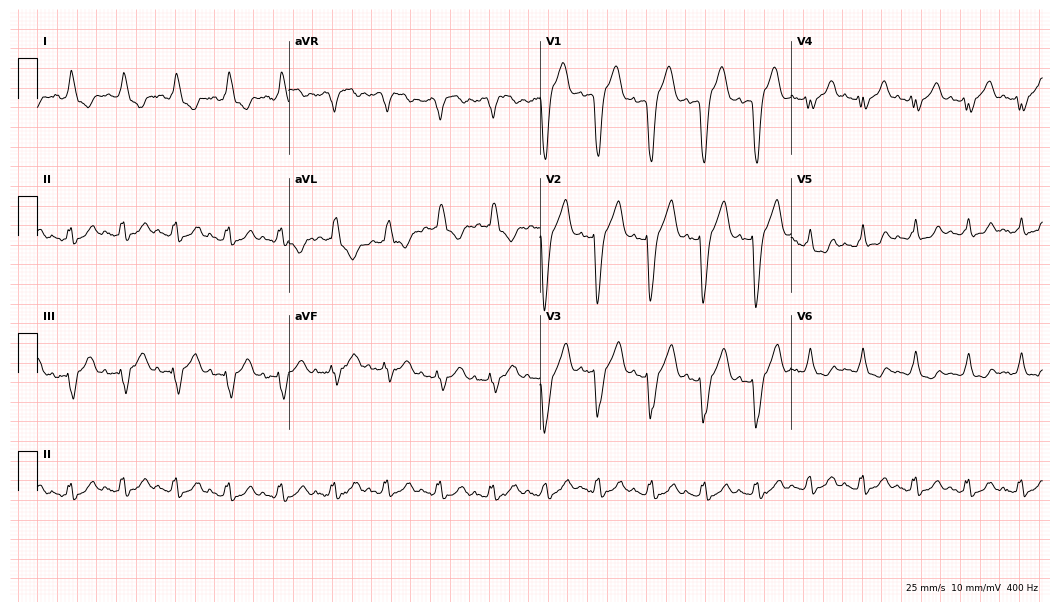
12-lead ECG from a male, 78 years old. Findings include left bundle branch block, sinus tachycardia (a sinus rate of 100 beats per minute or more).